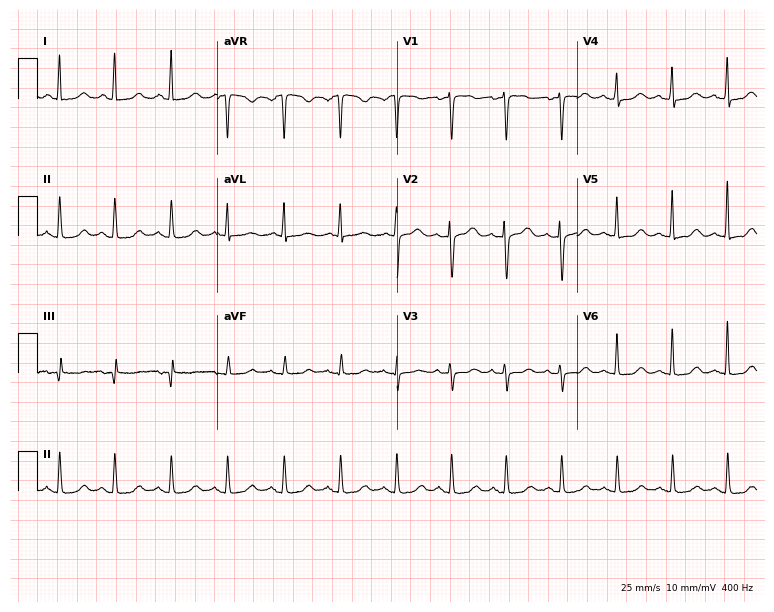
12-lead ECG from a 65-year-old female. Shows sinus tachycardia (a sinus rate of 100 beats per minute or more).